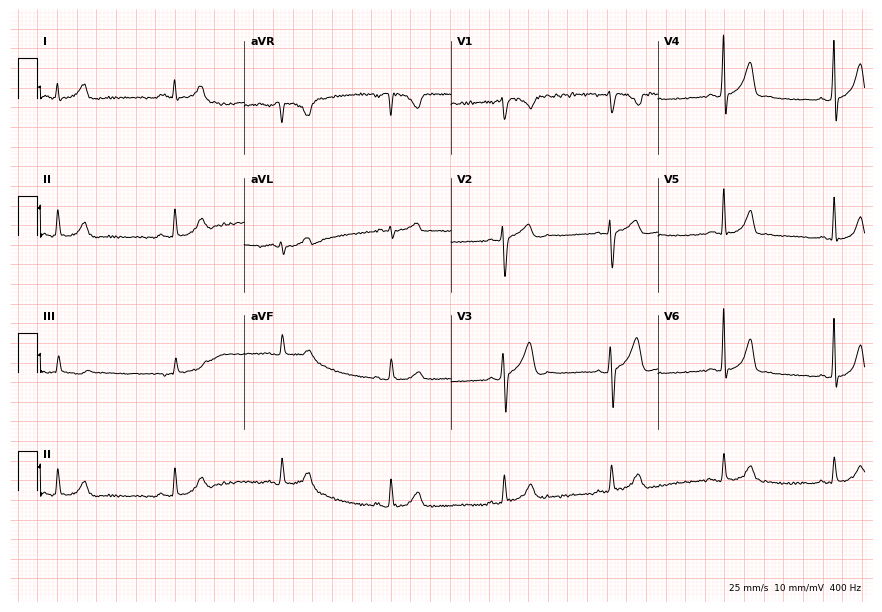
ECG (8.4-second recording at 400 Hz) — a 37-year-old male patient. Labelled as a normal ECG.